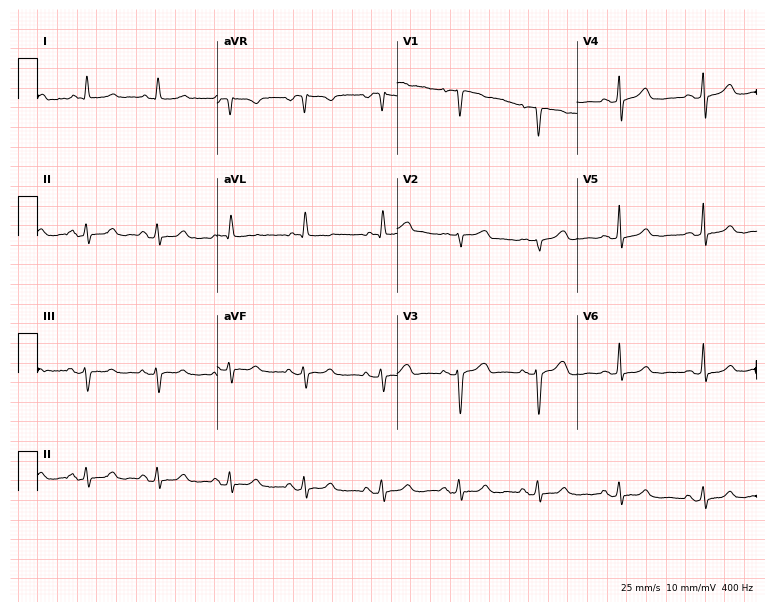
12-lead ECG from a female patient, 66 years old (7.3-second recording at 400 Hz). No first-degree AV block, right bundle branch block, left bundle branch block, sinus bradycardia, atrial fibrillation or sinus tachycardia recorded for this tracing.